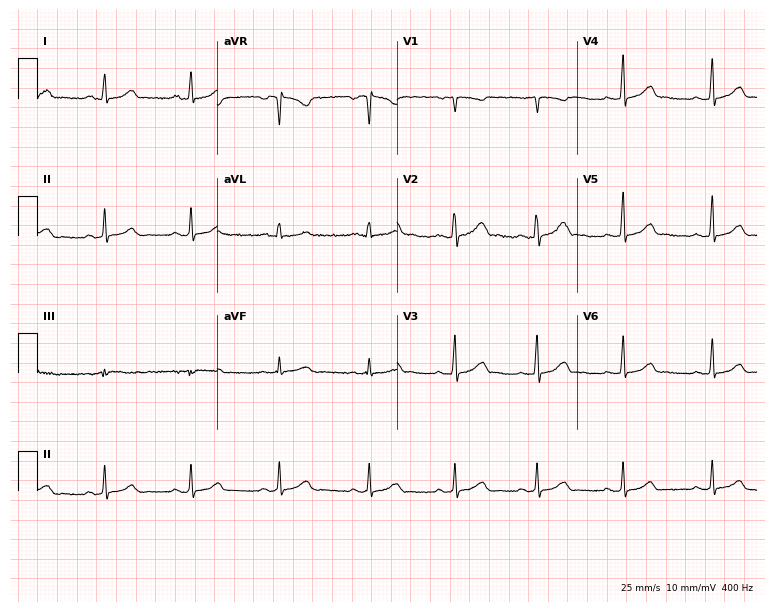
Resting 12-lead electrocardiogram (7.3-second recording at 400 Hz). Patient: a female, 34 years old. Read as a normal ECG.